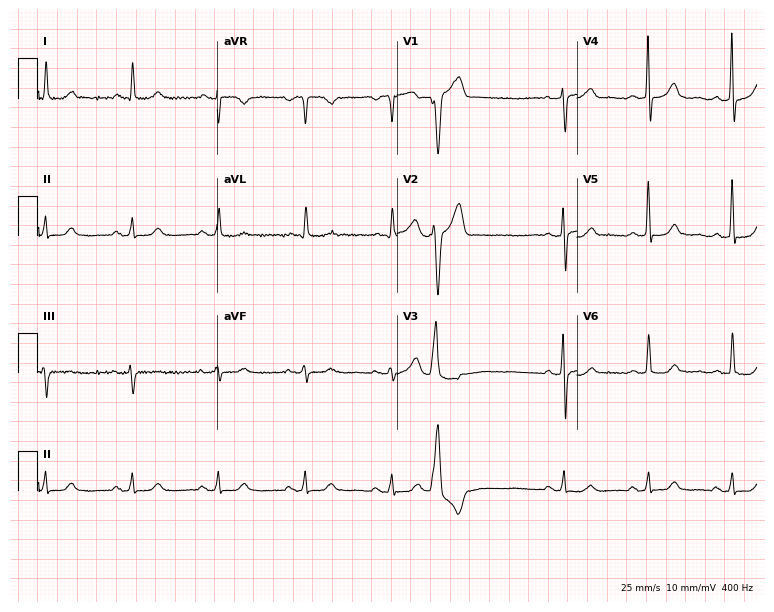
12-lead ECG (7.3-second recording at 400 Hz) from a 72-year-old man. Labelled as a normal ECG.